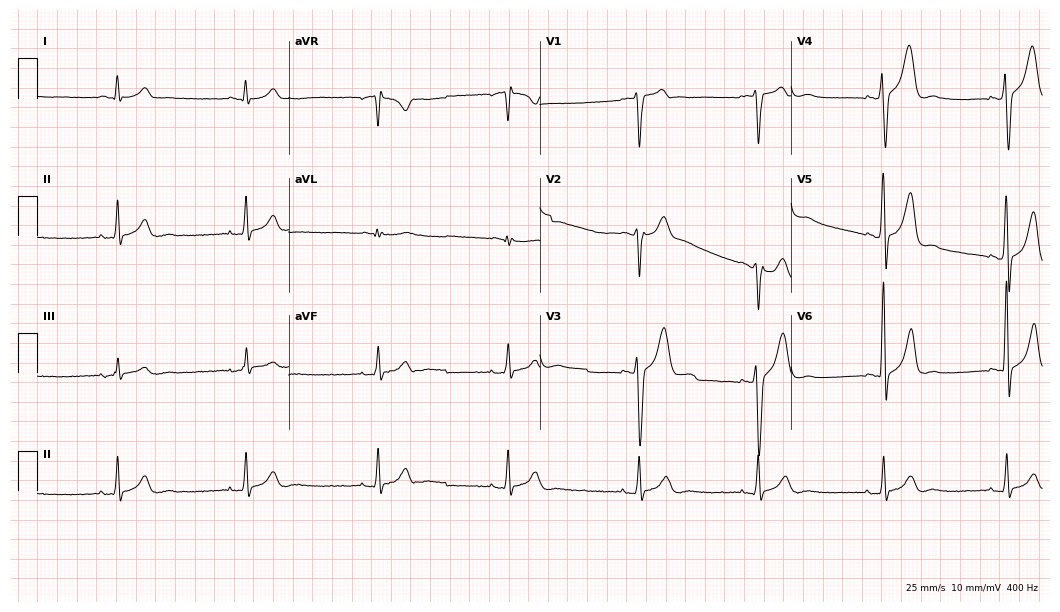
12-lead ECG (10.2-second recording at 400 Hz) from a 29-year-old man. Screened for six findings — first-degree AV block, right bundle branch block, left bundle branch block, sinus bradycardia, atrial fibrillation, sinus tachycardia — none is recorded.